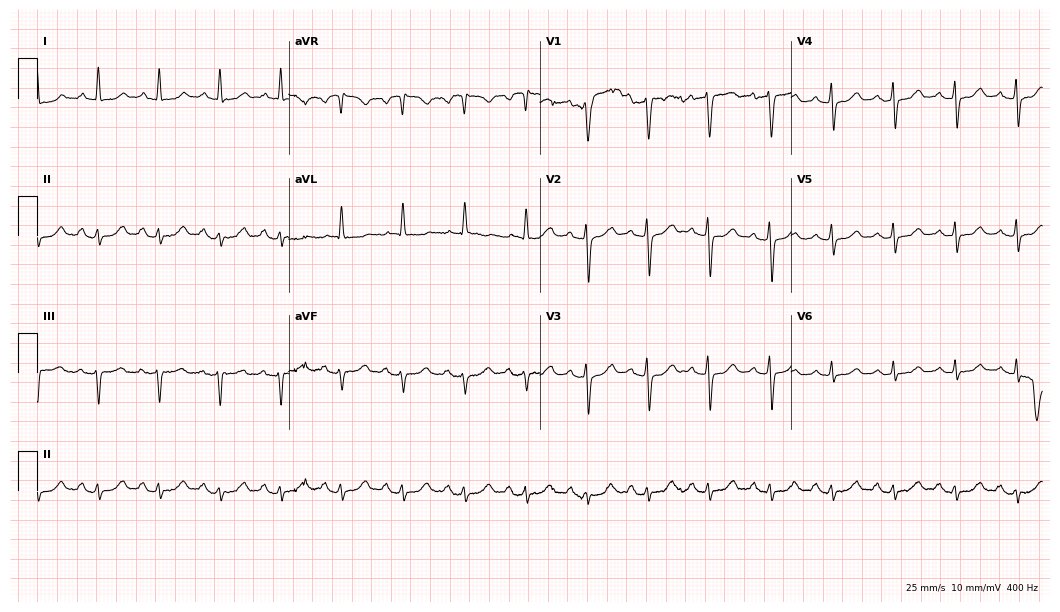
Electrocardiogram, a female patient, 61 years old. Of the six screened findings (first-degree AV block, right bundle branch block, left bundle branch block, sinus bradycardia, atrial fibrillation, sinus tachycardia), none is recorded.